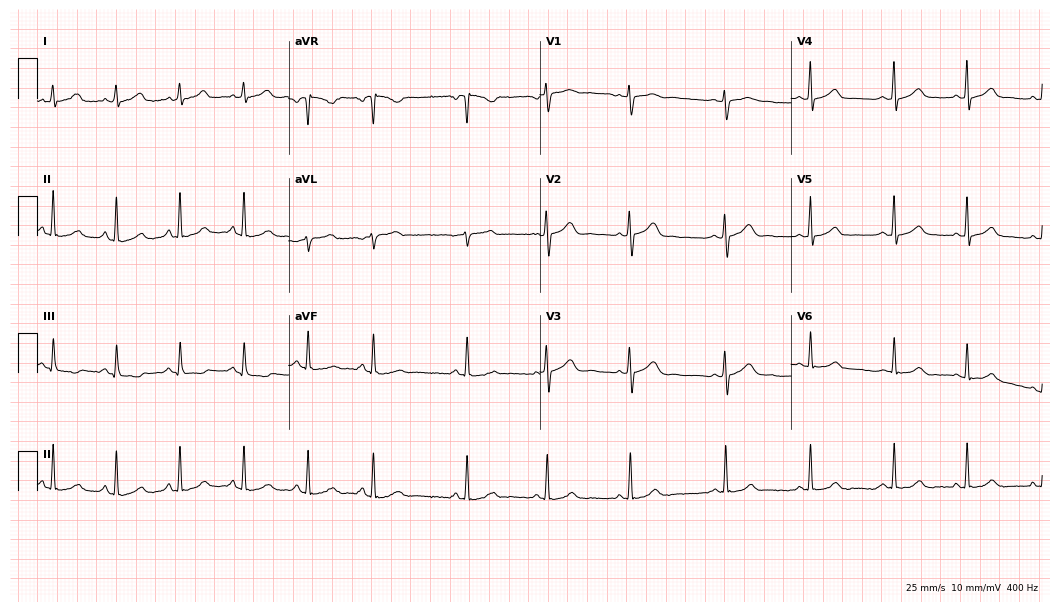
ECG (10.2-second recording at 400 Hz) — a woman, 27 years old. Labelled as a normal ECG.